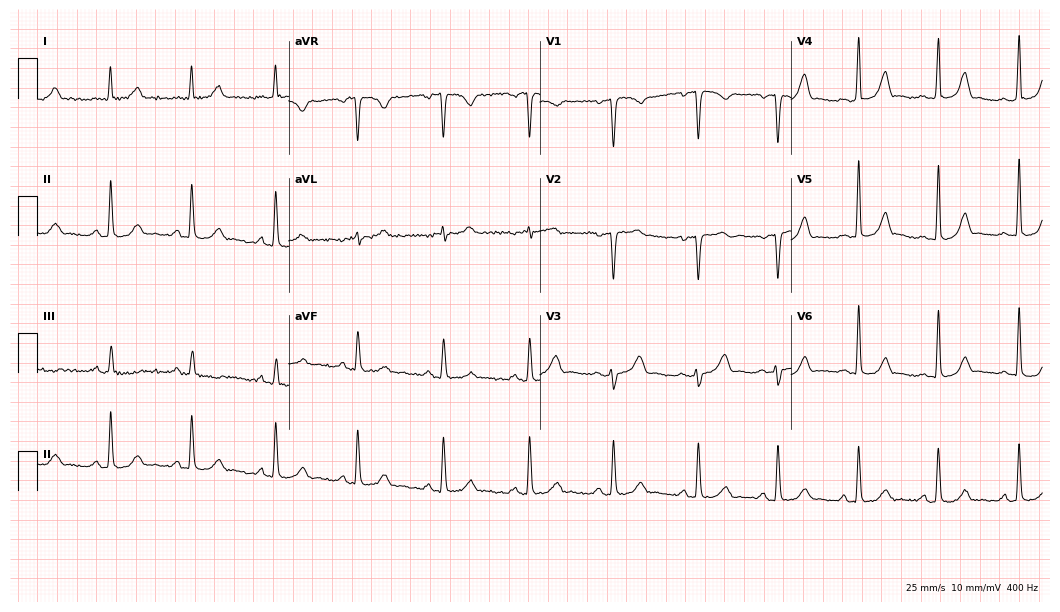
ECG — a female, 32 years old. Labelled as a normal ECG.